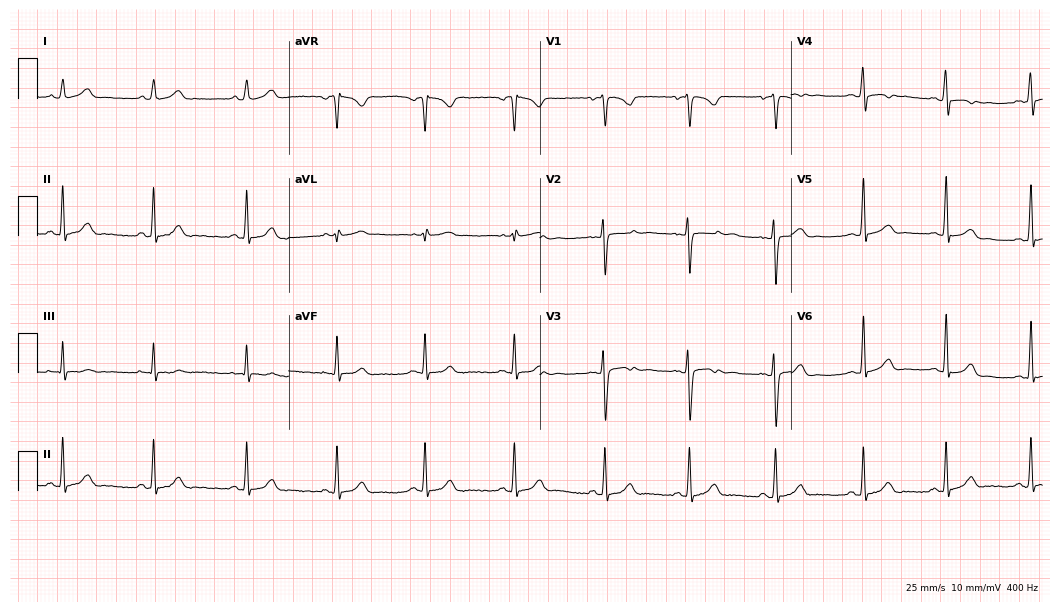
Electrocardiogram, a female, 22 years old. Of the six screened findings (first-degree AV block, right bundle branch block, left bundle branch block, sinus bradycardia, atrial fibrillation, sinus tachycardia), none is recorded. Only these six findings were labelled.